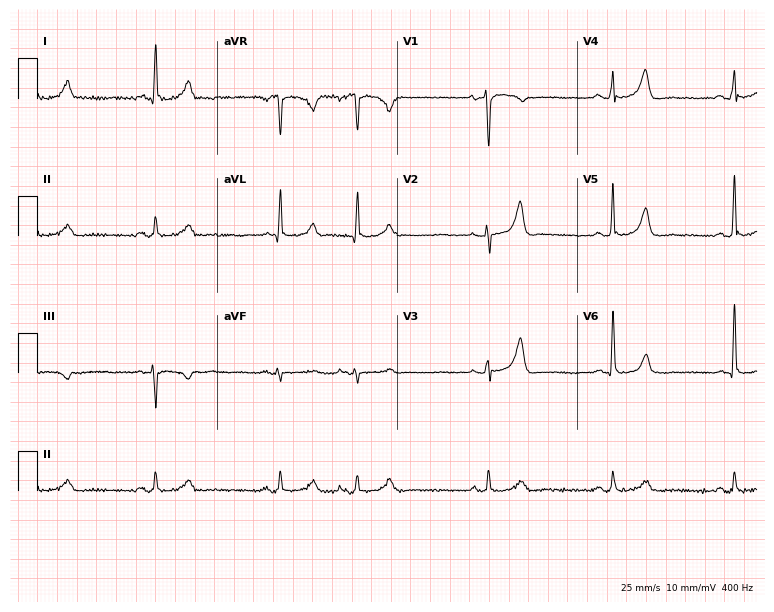
12-lead ECG from a male, 85 years old. Shows sinus bradycardia (a sinus rate of 50 beats per minute or less).